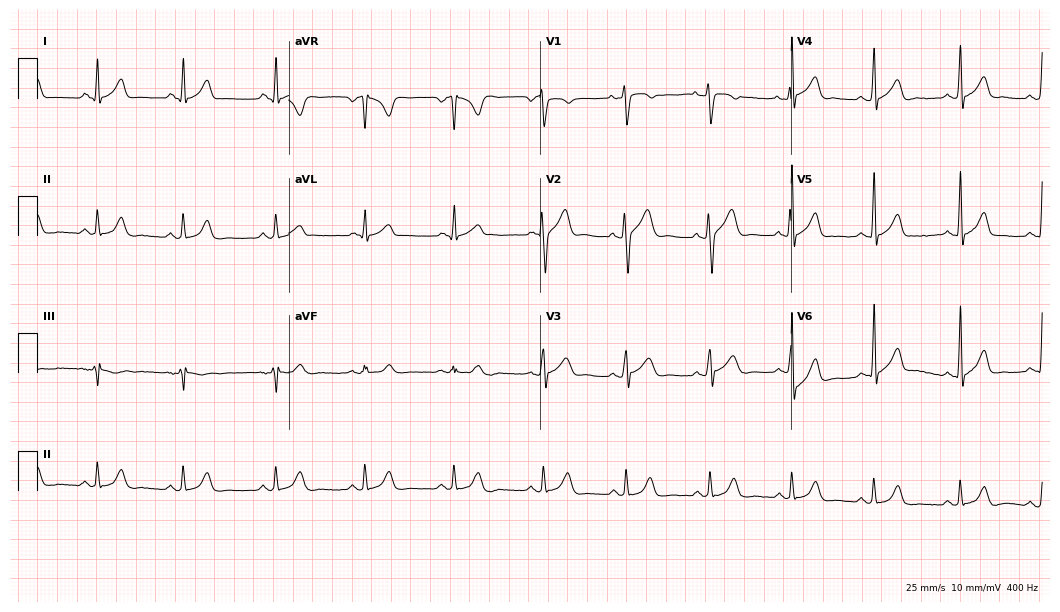
Resting 12-lead electrocardiogram. Patient: a male, 35 years old. Read as a normal ECG.